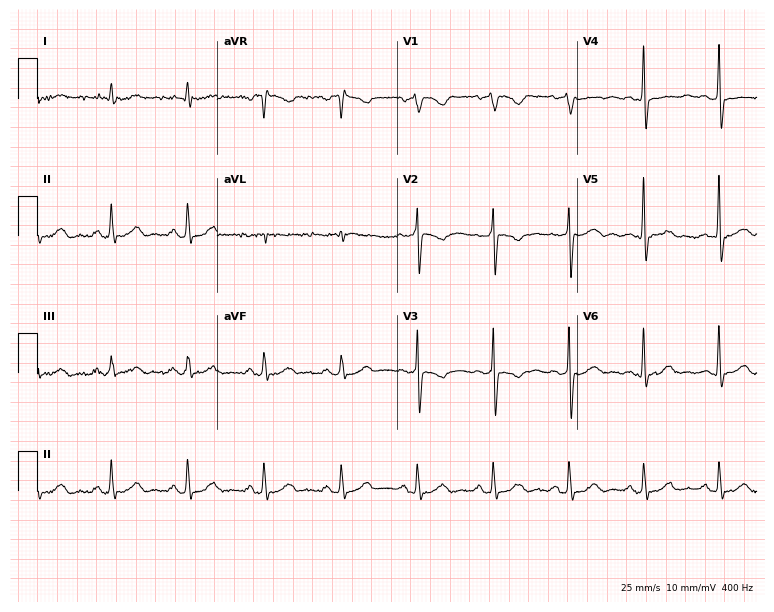
12-lead ECG (7.3-second recording at 400 Hz) from a female, 70 years old. Screened for six findings — first-degree AV block, right bundle branch block, left bundle branch block, sinus bradycardia, atrial fibrillation, sinus tachycardia — none is recorded. Only these six findings were labelled.